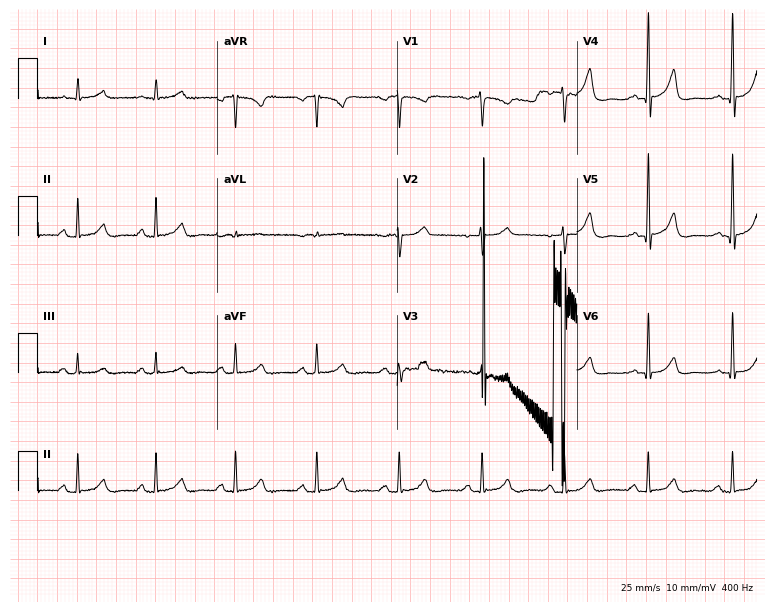
12-lead ECG (7.3-second recording at 400 Hz) from a male, 56 years old. Labelled as a normal ECG.